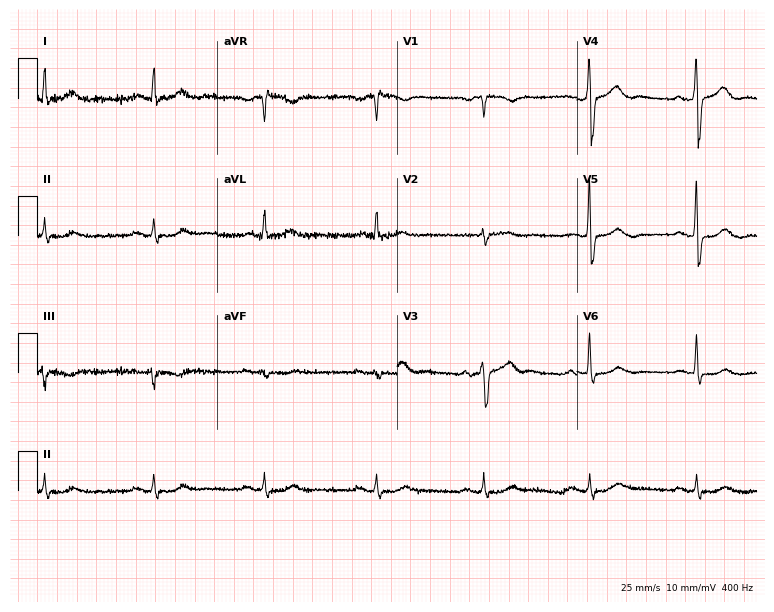
Electrocardiogram, an 84-year-old male patient. Of the six screened findings (first-degree AV block, right bundle branch block (RBBB), left bundle branch block (LBBB), sinus bradycardia, atrial fibrillation (AF), sinus tachycardia), none is recorded. Findings outside these six are not listed.